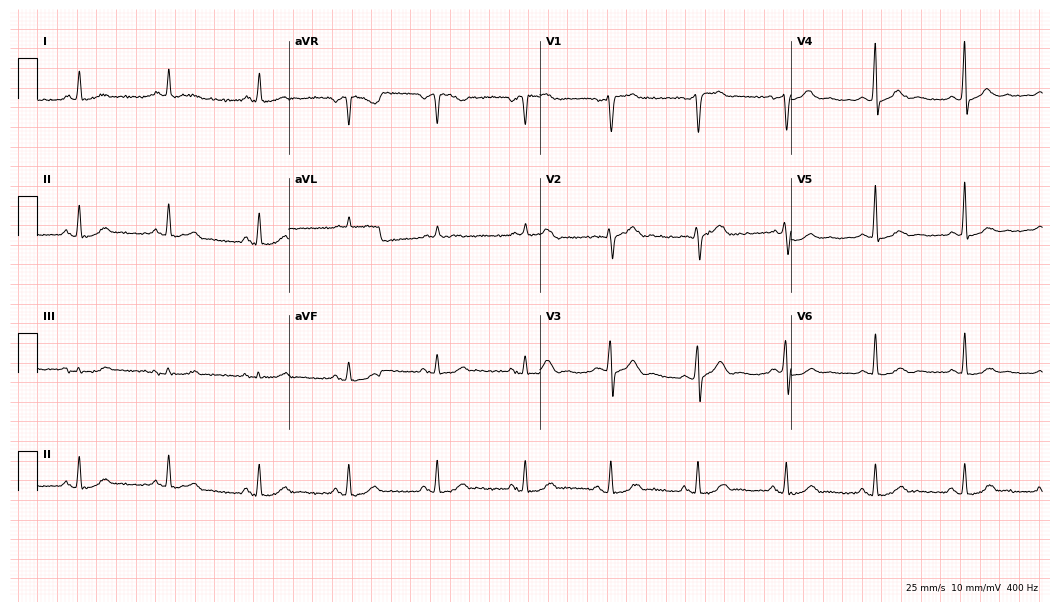
12-lead ECG from a 61-year-old male. Recorded interpretation: within normal limits.